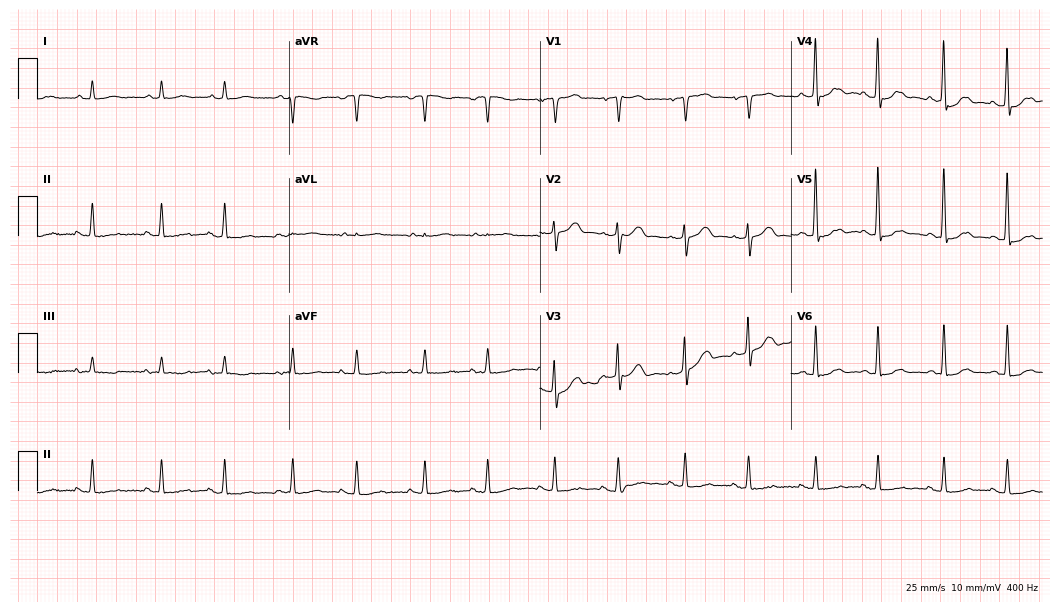
Standard 12-lead ECG recorded from an 80-year-old male (10.2-second recording at 400 Hz). Read as a normal ECG.